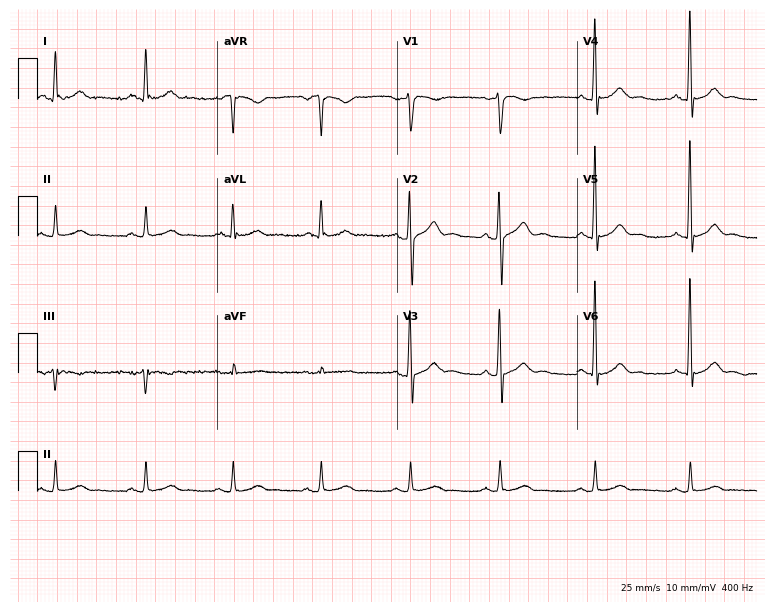
Standard 12-lead ECG recorded from a male, 40 years old. Read as a normal ECG.